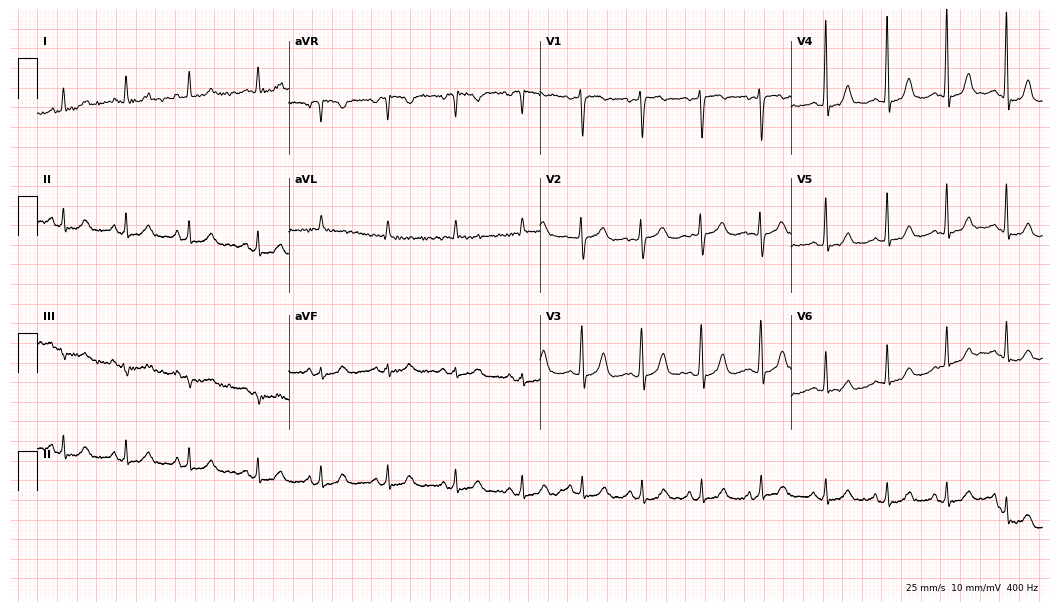
Electrocardiogram, a woman, 57 years old. Overall reading on record: normal ECG.